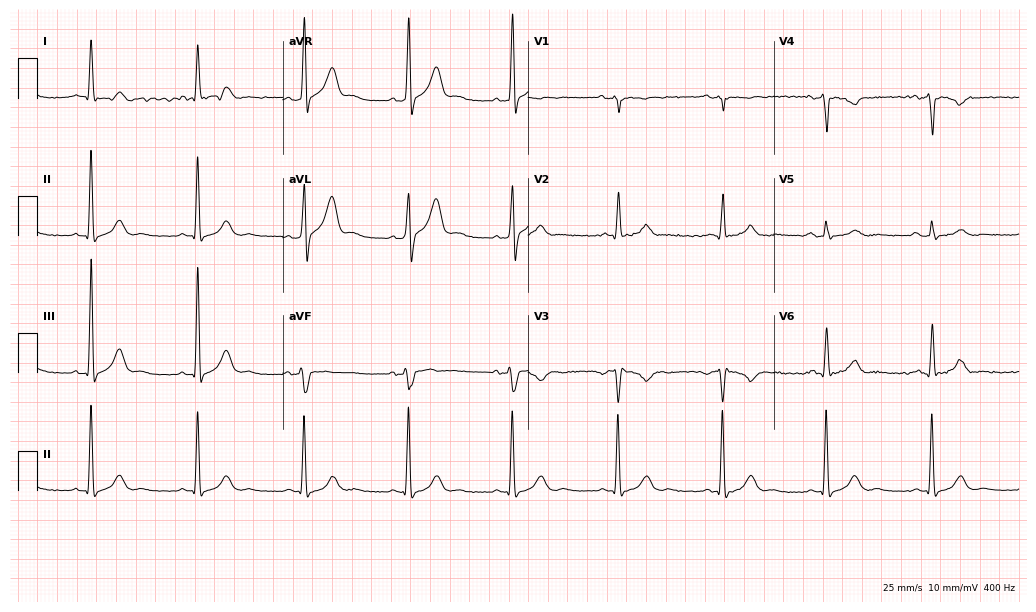
Standard 12-lead ECG recorded from a 71-year-old male patient (10-second recording at 400 Hz). None of these six findings is recorded: first-degree AV block, right bundle branch block (RBBB), left bundle branch block (LBBB), sinus bradycardia, atrial fibrillation (AF), sinus tachycardia.